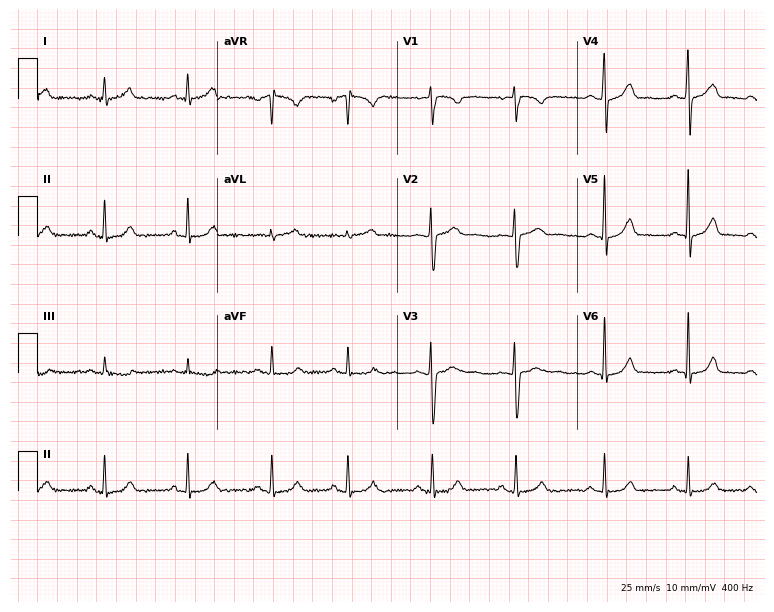
Resting 12-lead electrocardiogram. Patient: a 21-year-old female. Read as a normal ECG.